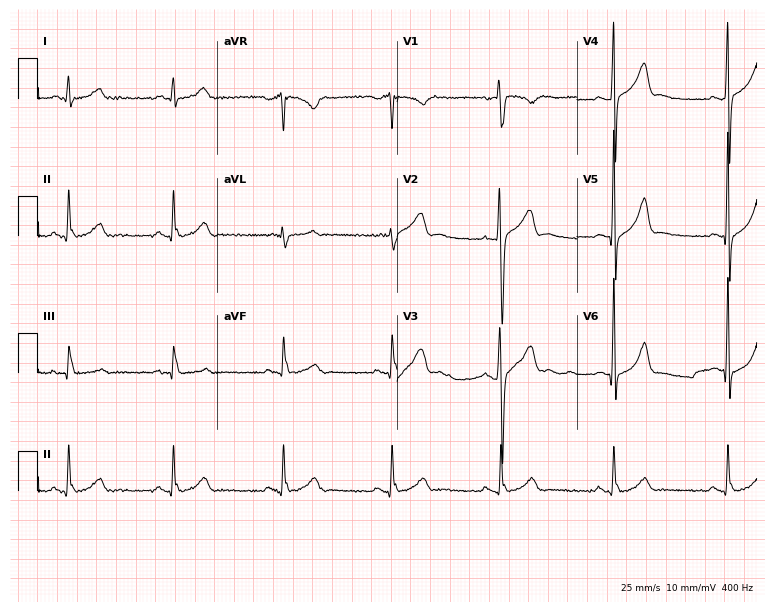
Standard 12-lead ECG recorded from a male patient, 36 years old (7.3-second recording at 400 Hz). None of these six findings is recorded: first-degree AV block, right bundle branch block (RBBB), left bundle branch block (LBBB), sinus bradycardia, atrial fibrillation (AF), sinus tachycardia. Findings outside these six are not listed.